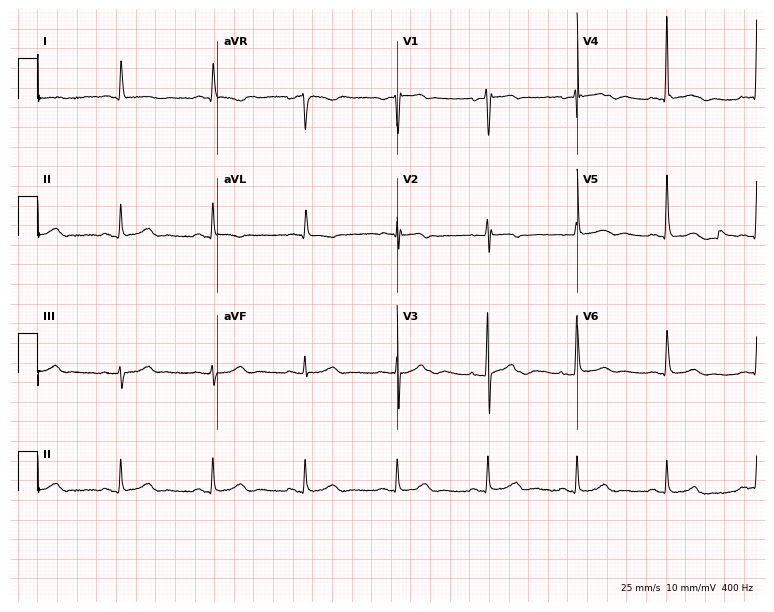
12-lead ECG (7.3-second recording at 400 Hz) from a 79-year-old man. Labelled as a normal ECG.